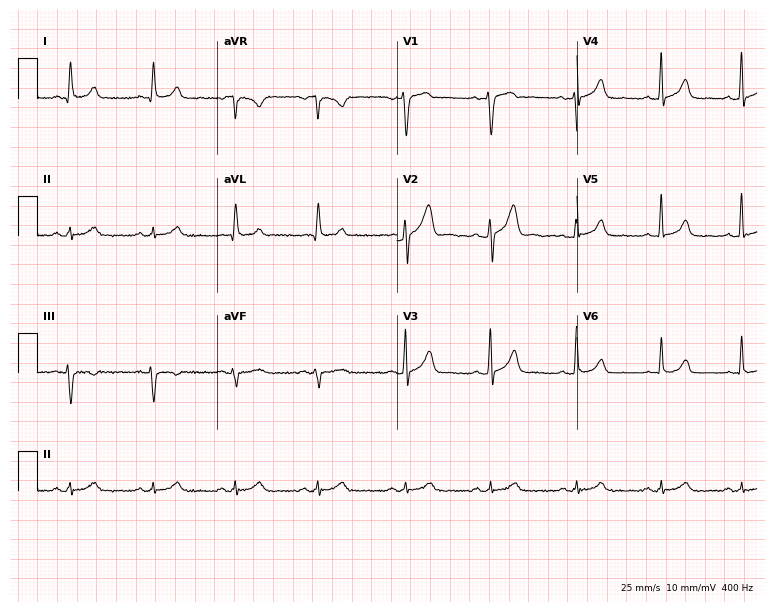
12-lead ECG from a 44-year-old male patient. No first-degree AV block, right bundle branch block (RBBB), left bundle branch block (LBBB), sinus bradycardia, atrial fibrillation (AF) or sinus tachycardia recorded for this tracing. Findings outside these six are not listed.